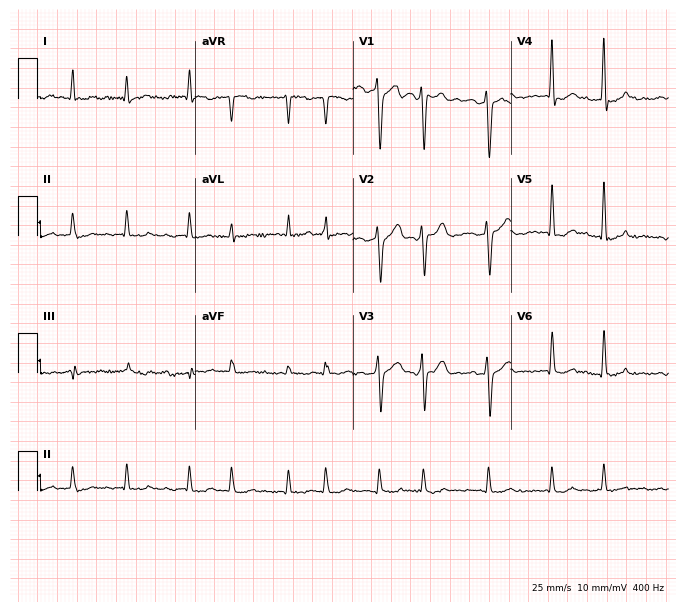
Electrocardiogram, a 67-year-old female. Of the six screened findings (first-degree AV block, right bundle branch block (RBBB), left bundle branch block (LBBB), sinus bradycardia, atrial fibrillation (AF), sinus tachycardia), none is recorded. Only these six findings were labelled.